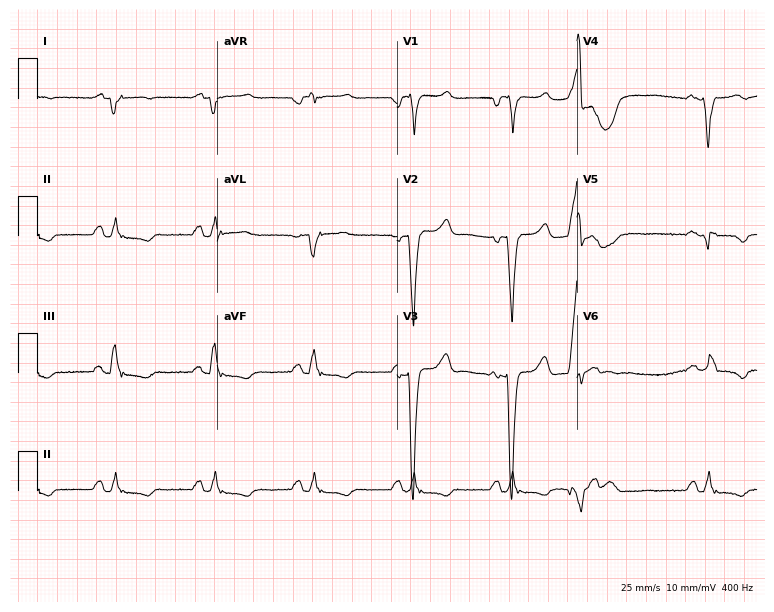
12-lead ECG (7.3-second recording at 400 Hz) from a man, 60 years old. Screened for six findings — first-degree AV block, right bundle branch block (RBBB), left bundle branch block (LBBB), sinus bradycardia, atrial fibrillation (AF), sinus tachycardia — none is recorded.